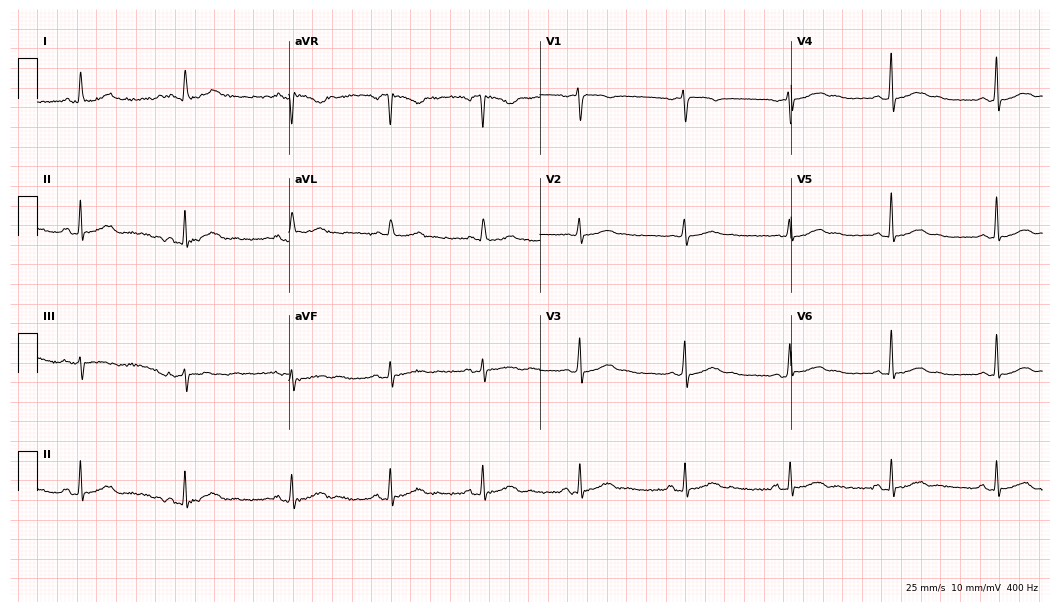
12-lead ECG from a 54-year-old woman (10.2-second recording at 400 Hz). No first-degree AV block, right bundle branch block, left bundle branch block, sinus bradycardia, atrial fibrillation or sinus tachycardia recorded for this tracing. Only these six findings were labelled.